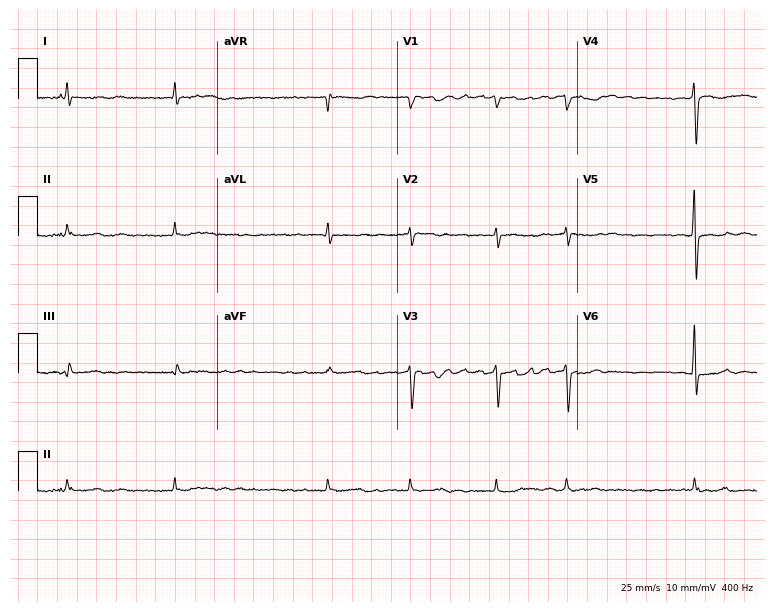
Standard 12-lead ECG recorded from a female patient, 77 years old. The tracing shows atrial fibrillation.